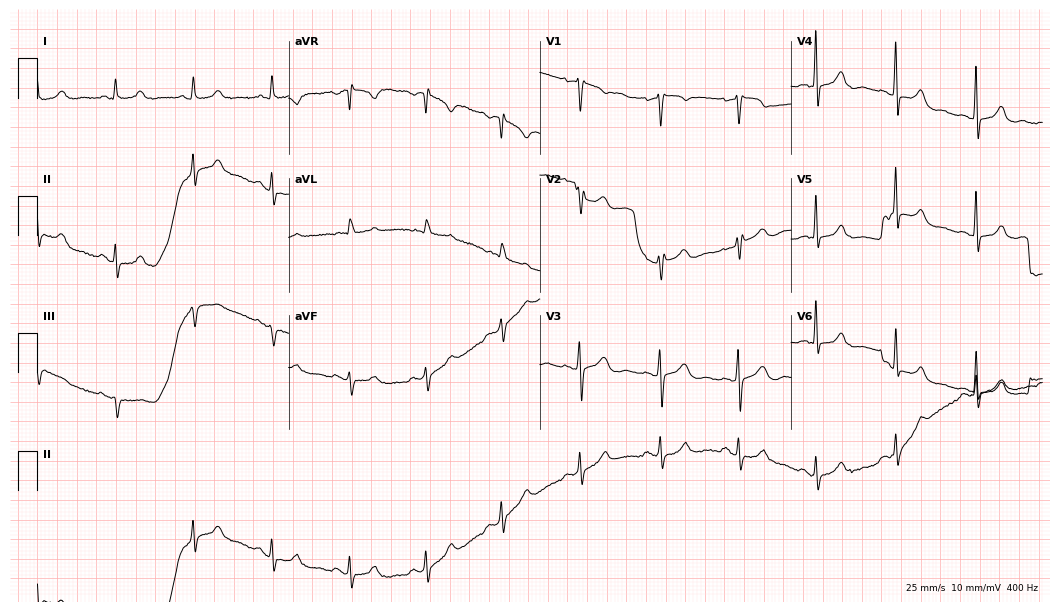
Resting 12-lead electrocardiogram (10.2-second recording at 400 Hz). Patient: a female, 56 years old. Read as a normal ECG.